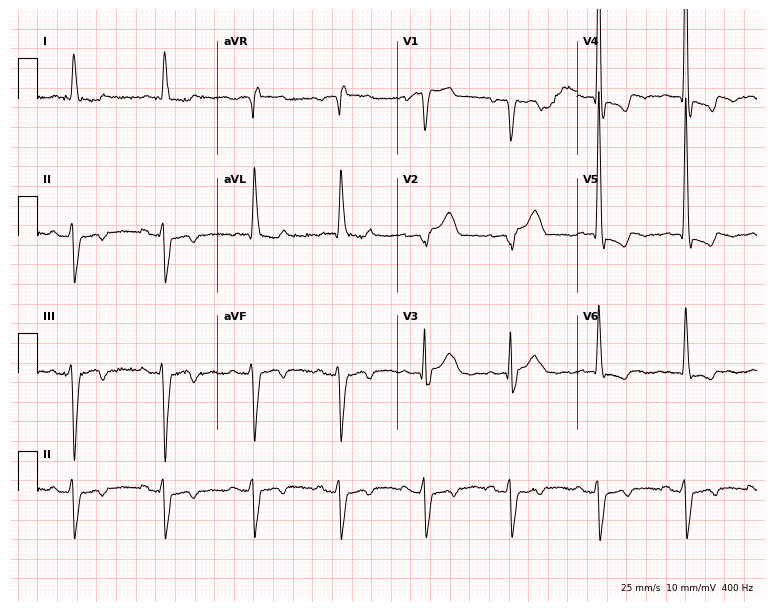
12-lead ECG from a man, 83 years old (7.3-second recording at 400 Hz). No first-degree AV block, right bundle branch block, left bundle branch block, sinus bradycardia, atrial fibrillation or sinus tachycardia recorded for this tracing.